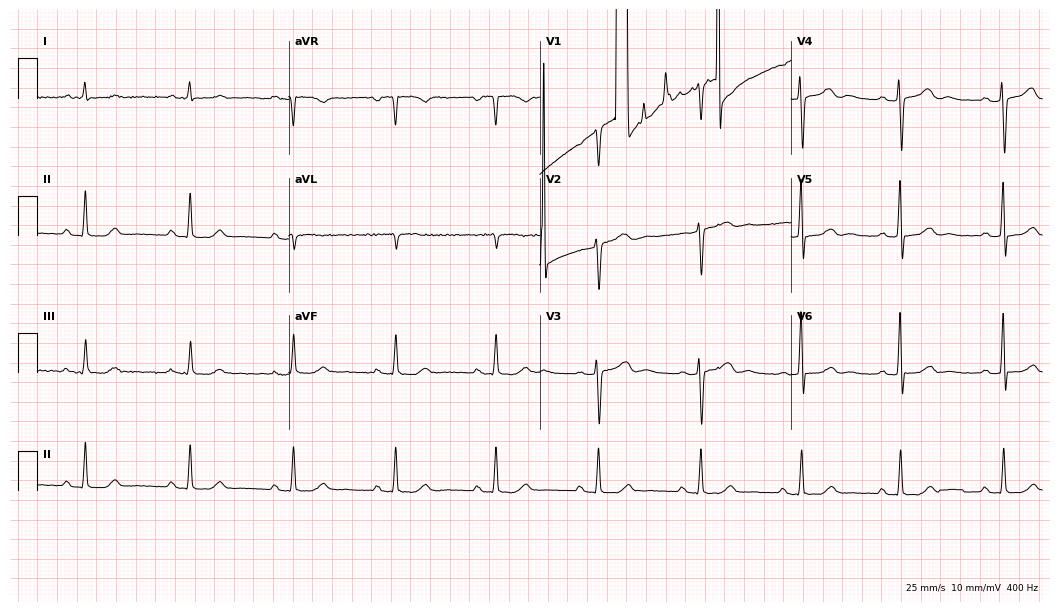
Standard 12-lead ECG recorded from a female, 57 years old (10.2-second recording at 400 Hz). None of these six findings is recorded: first-degree AV block, right bundle branch block (RBBB), left bundle branch block (LBBB), sinus bradycardia, atrial fibrillation (AF), sinus tachycardia. Other findings, if any, are not listed.